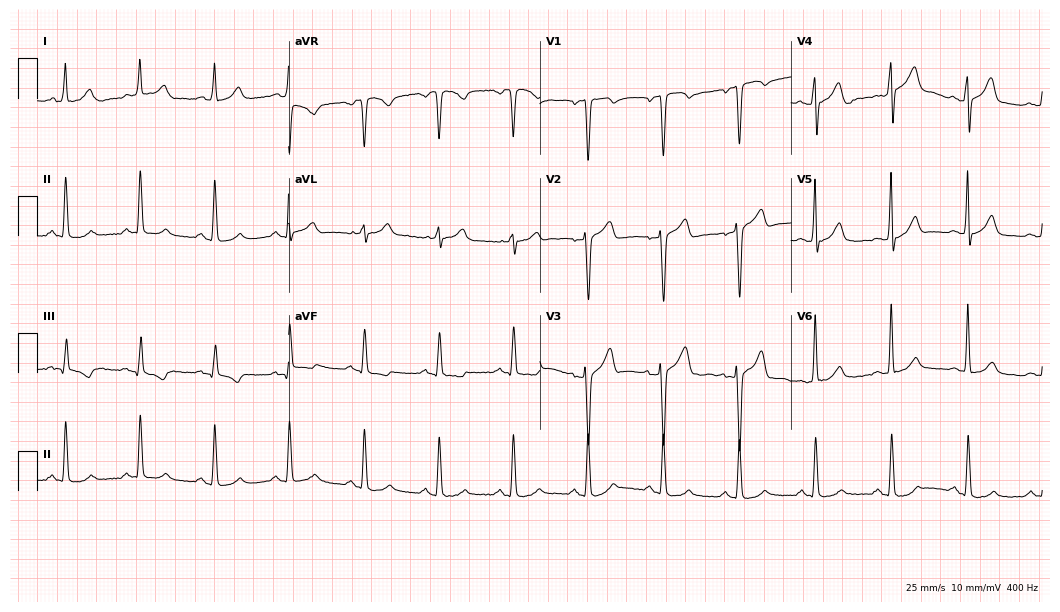
12-lead ECG (10.2-second recording at 400 Hz) from a male, 56 years old. Labelled as a normal ECG.